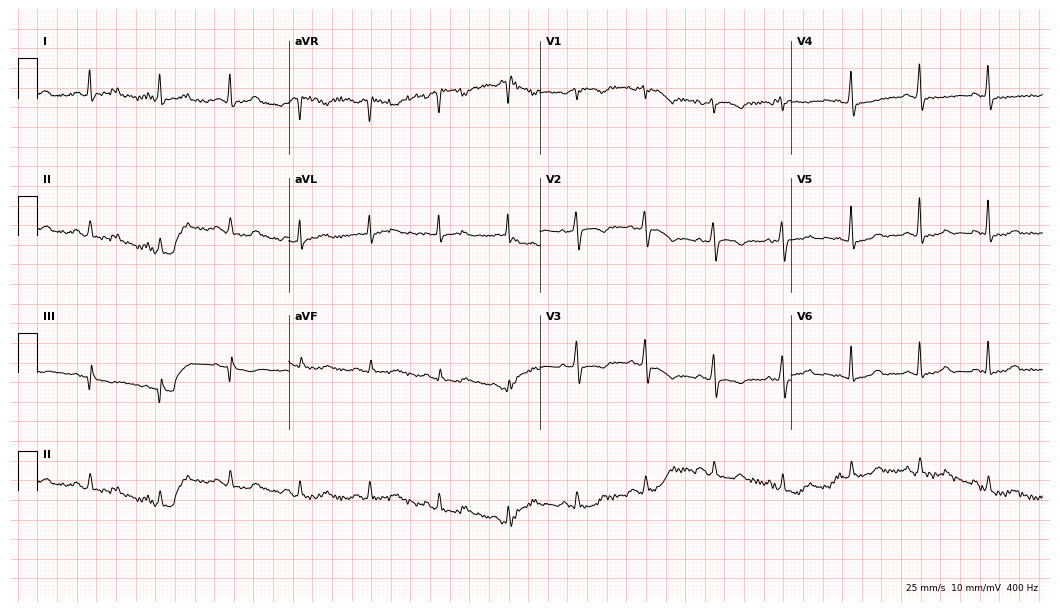
Resting 12-lead electrocardiogram. Patient: a female, 73 years old. None of these six findings is recorded: first-degree AV block, right bundle branch block, left bundle branch block, sinus bradycardia, atrial fibrillation, sinus tachycardia. Only these six findings were labelled.